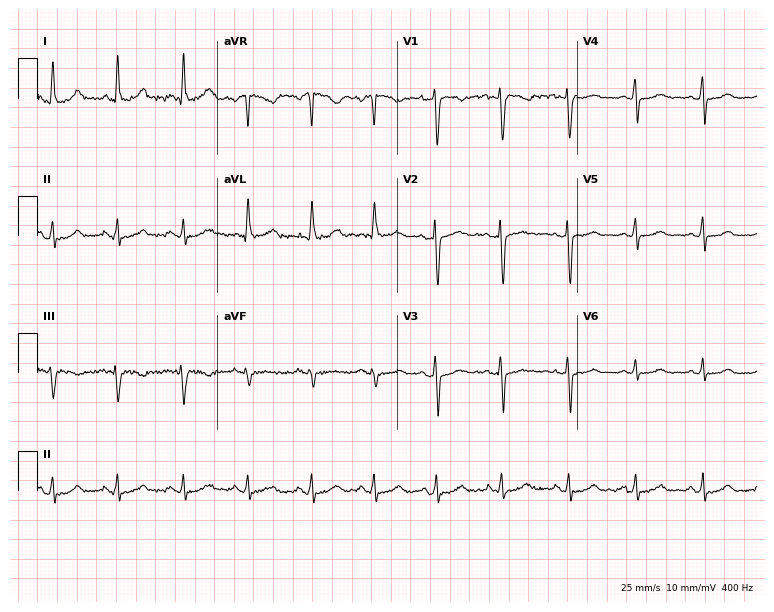
12-lead ECG from a female, 36 years old. Screened for six findings — first-degree AV block, right bundle branch block, left bundle branch block, sinus bradycardia, atrial fibrillation, sinus tachycardia — none is recorded.